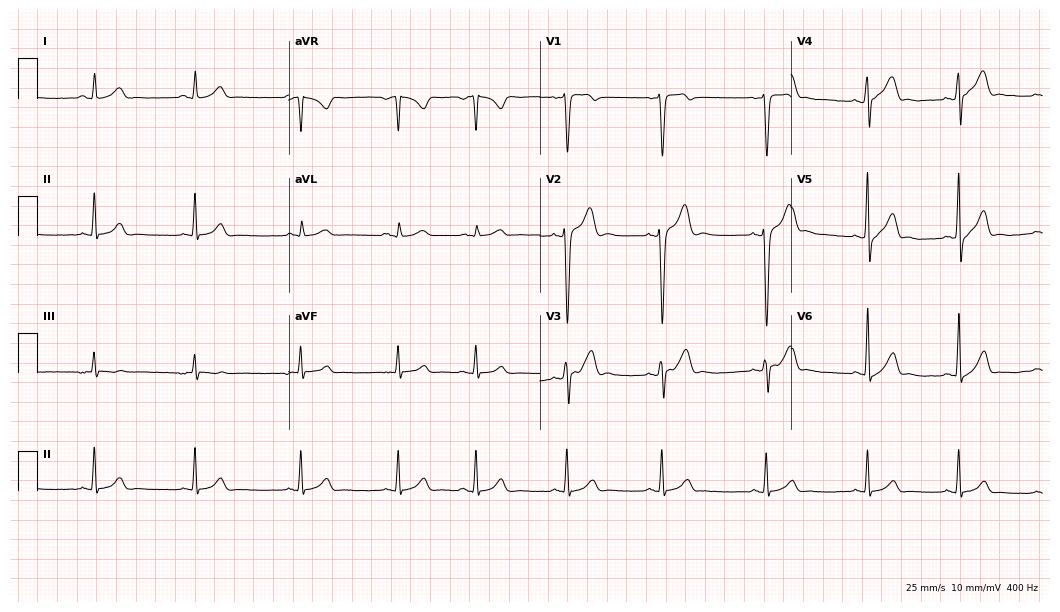
ECG (10.2-second recording at 400 Hz) — an 18-year-old male patient. Labelled as a normal ECG.